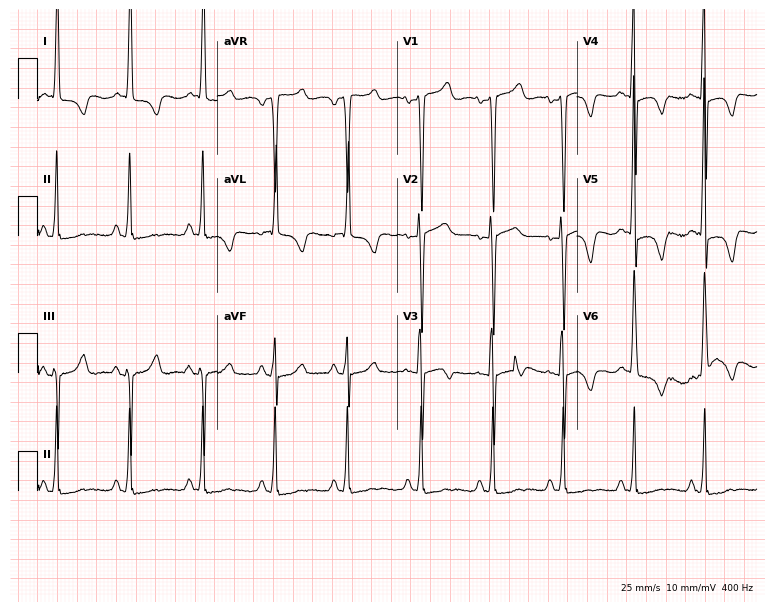
ECG — a woman, 85 years old. Screened for six findings — first-degree AV block, right bundle branch block, left bundle branch block, sinus bradycardia, atrial fibrillation, sinus tachycardia — none is recorded.